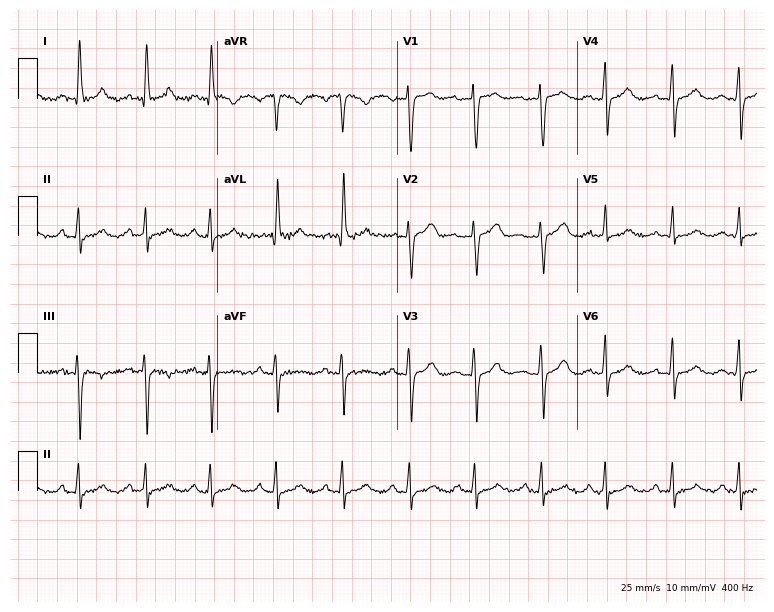
Electrocardiogram, a woman, 48 years old. Overall reading on record: normal ECG.